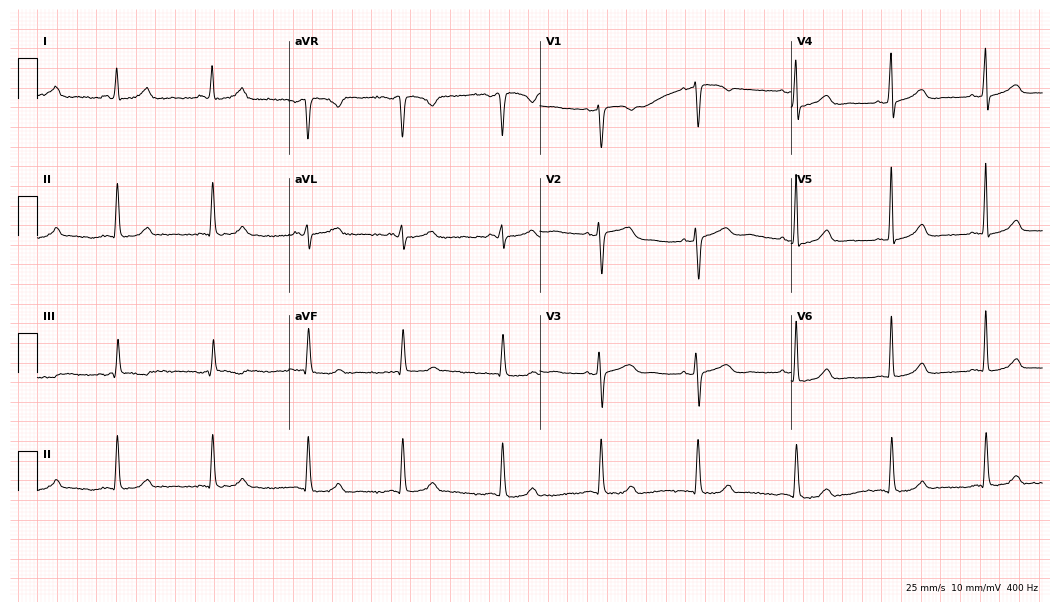
ECG — a woman, 52 years old. Labelled as a normal ECG.